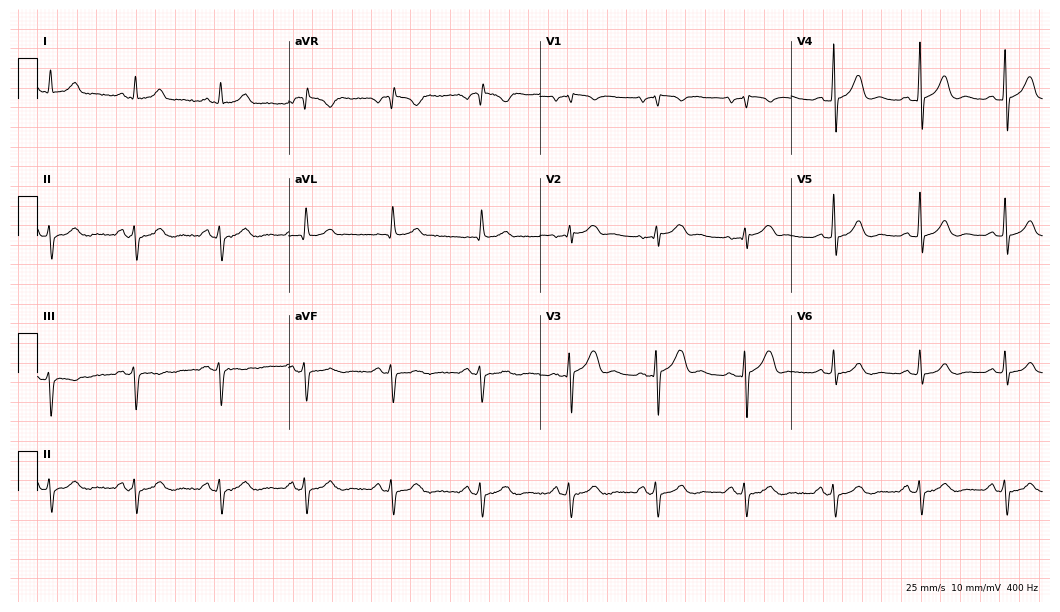
12-lead ECG (10.2-second recording at 400 Hz) from a 62-year-old male. Screened for six findings — first-degree AV block, right bundle branch block, left bundle branch block, sinus bradycardia, atrial fibrillation, sinus tachycardia — none is recorded.